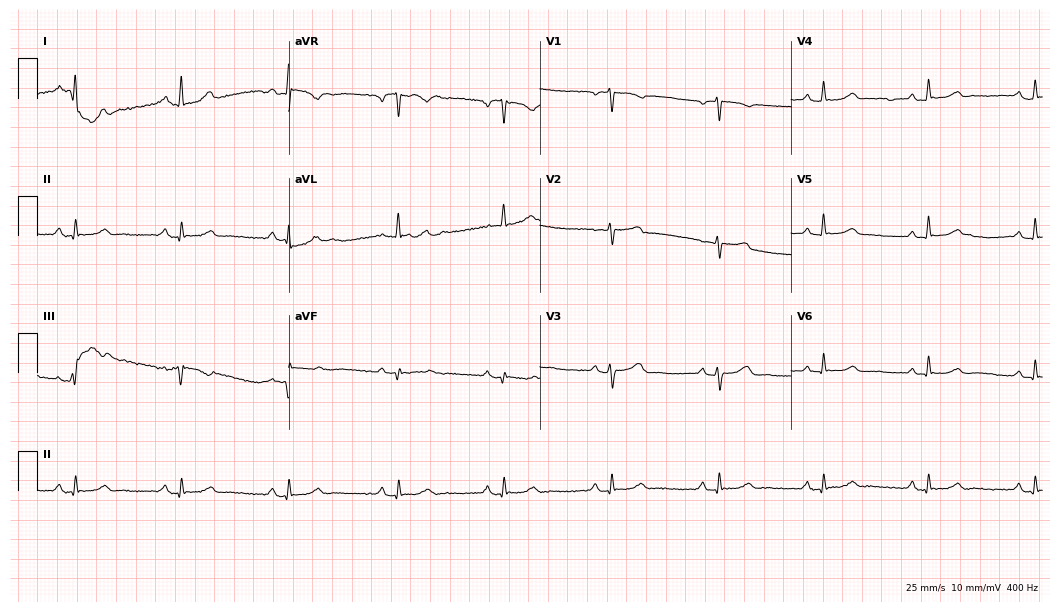
Resting 12-lead electrocardiogram (10.2-second recording at 400 Hz). Patient: a 51-year-old female. Read as a normal ECG.